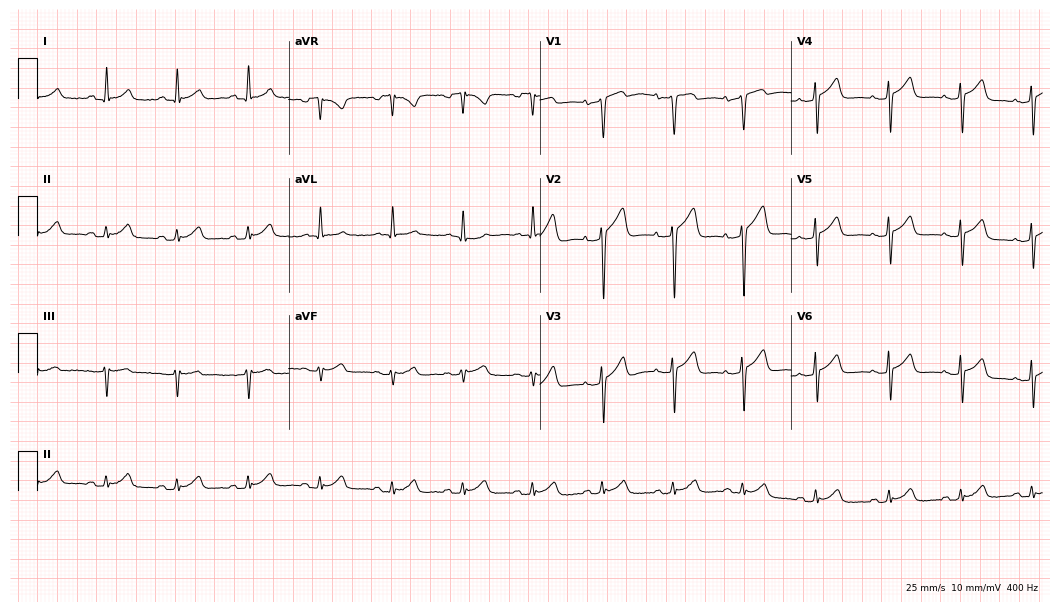
12-lead ECG from an 85-year-old woman. Screened for six findings — first-degree AV block, right bundle branch block, left bundle branch block, sinus bradycardia, atrial fibrillation, sinus tachycardia — none is recorded. Other findings, if any, are not listed.